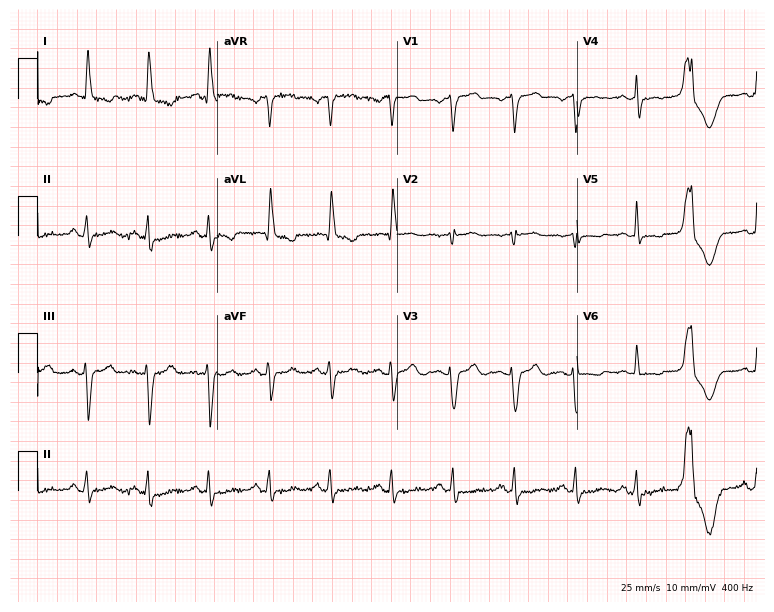
12-lead ECG from a 68-year-old female. Screened for six findings — first-degree AV block, right bundle branch block, left bundle branch block, sinus bradycardia, atrial fibrillation, sinus tachycardia — none is recorded. Other findings, if any, are not listed.